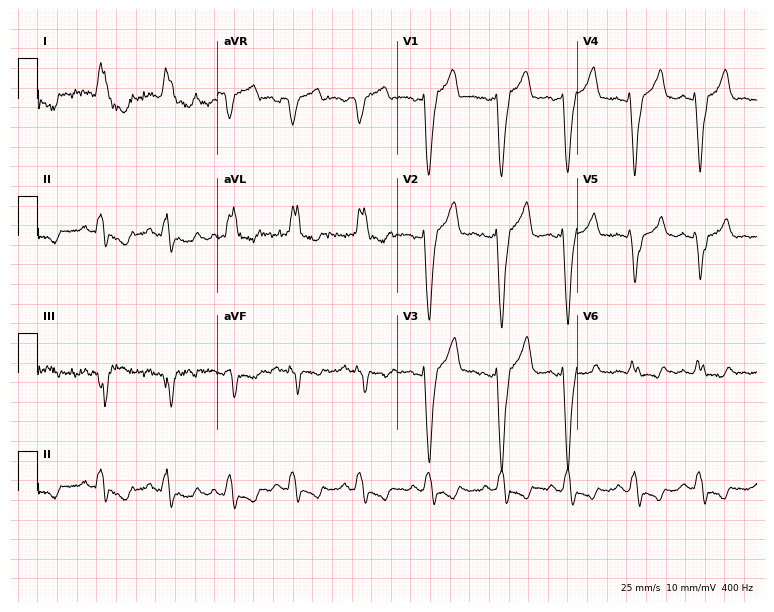
Electrocardiogram (7.3-second recording at 400 Hz), a 56-year-old female. Interpretation includes left bundle branch block.